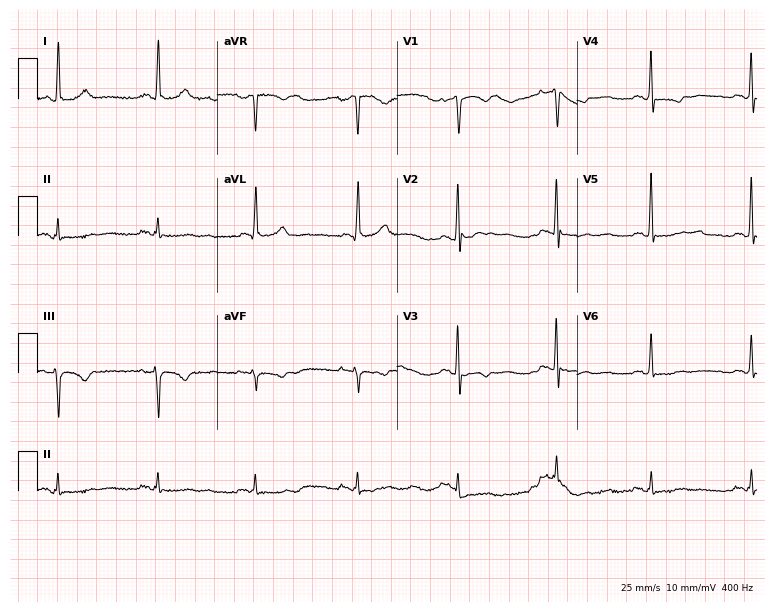
ECG — a 75-year-old female. Screened for six findings — first-degree AV block, right bundle branch block (RBBB), left bundle branch block (LBBB), sinus bradycardia, atrial fibrillation (AF), sinus tachycardia — none is recorded. Only these six findings were labelled.